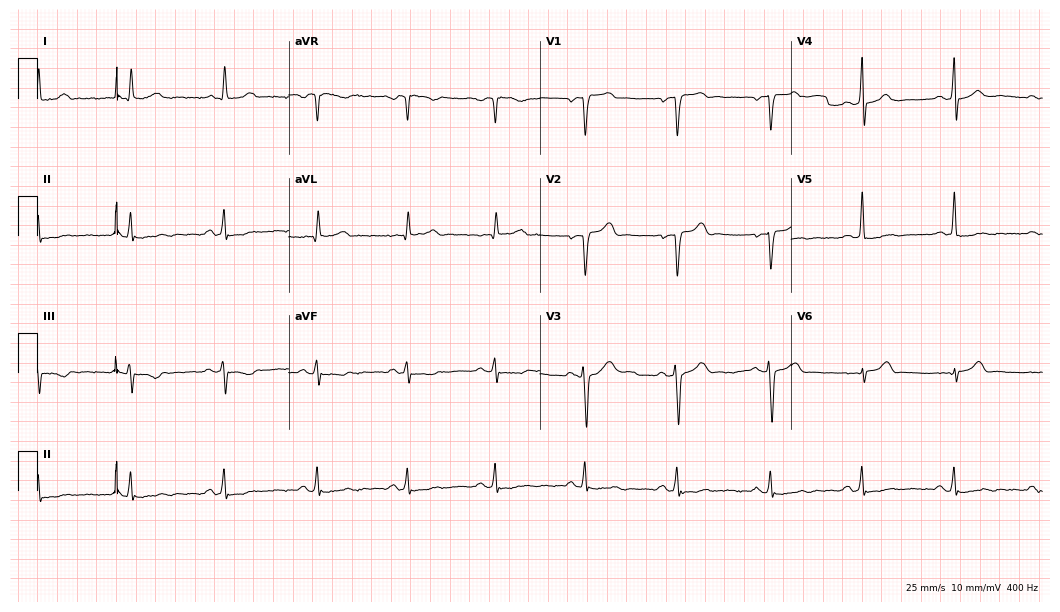
Electrocardiogram, a 51-year-old male patient. Overall reading on record: normal ECG.